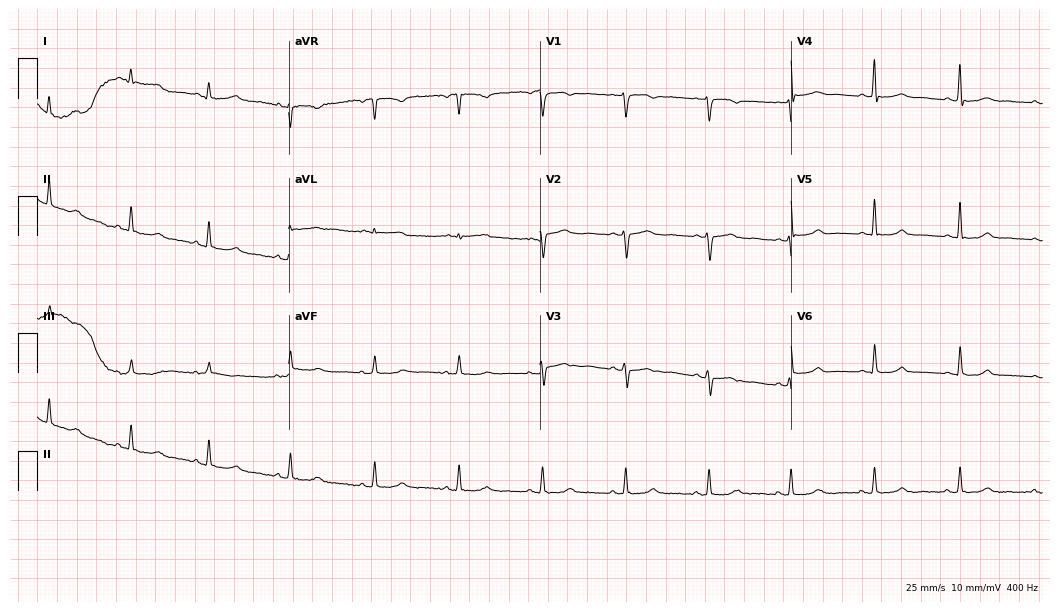
ECG — a female patient, 49 years old. Screened for six findings — first-degree AV block, right bundle branch block, left bundle branch block, sinus bradycardia, atrial fibrillation, sinus tachycardia — none is recorded. Findings outside these six are not listed.